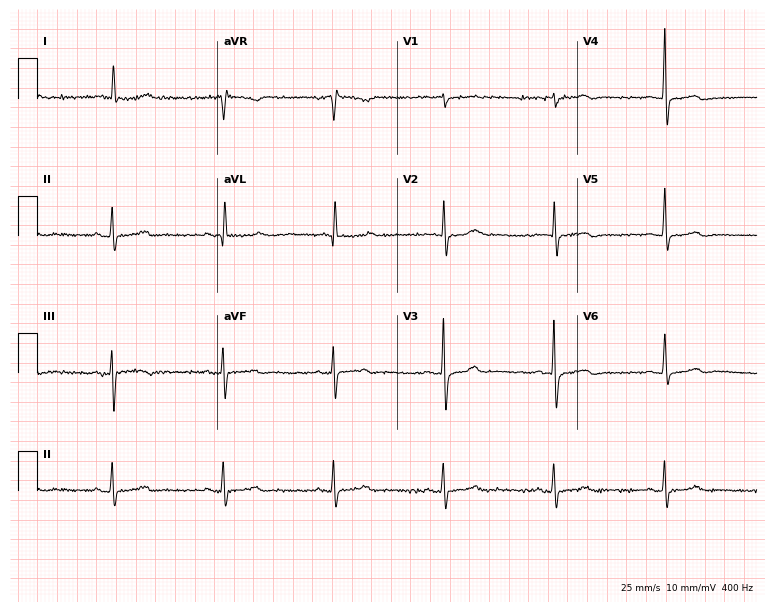
Resting 12-lead electrocardiogram (7.3-second recording at 400 Hz). Patient: an 86-year-old man. None of these six findings is recorded: first-degree AV block, right bundle branch block, left bundle branch block, sinus bradycardia, atrial fibrillation, sinus tachycardia. Other findings, if any, are not listed.